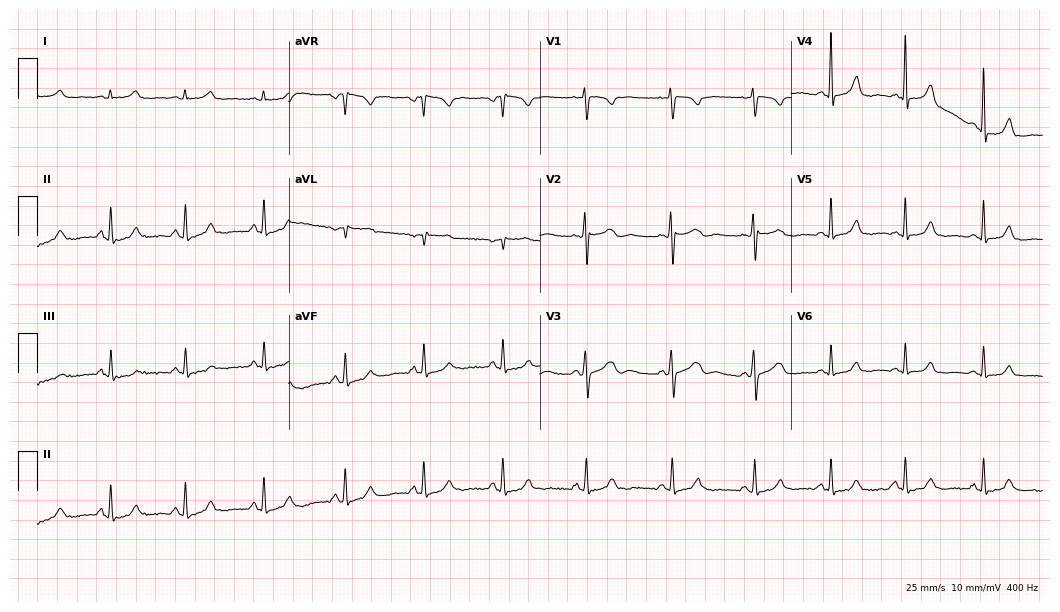
12-lead ECG from a woman, 39 years old. Labelled as a normal ECG.